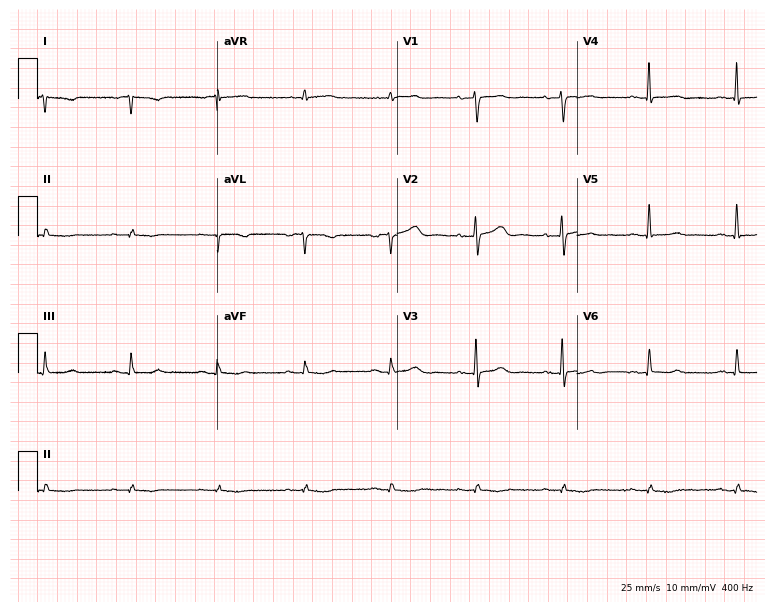
Electrocardiogram, a woman, 70 years old. Of the six screened findings (first-degree AV block, right bundle branch block, left bundle branch block, sinus bradycardia, atrial fibrillation, sinus tachycardia), none is recorded. Only these six findings were labelled.